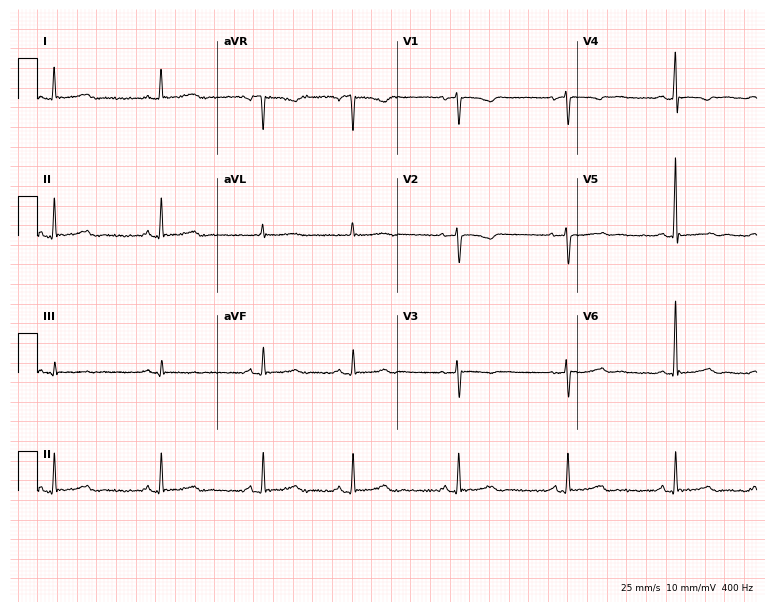
Electrocardiogram, a 59-year-old female. Of the six screened findings (first-degree AV block, right bundle branch block (RBBB), left bundle branch block (LBBB), sinus bradycardia, atrial fibrillation (AF), sinus tachycardia), none is recorded. Only these six findings were labelled.